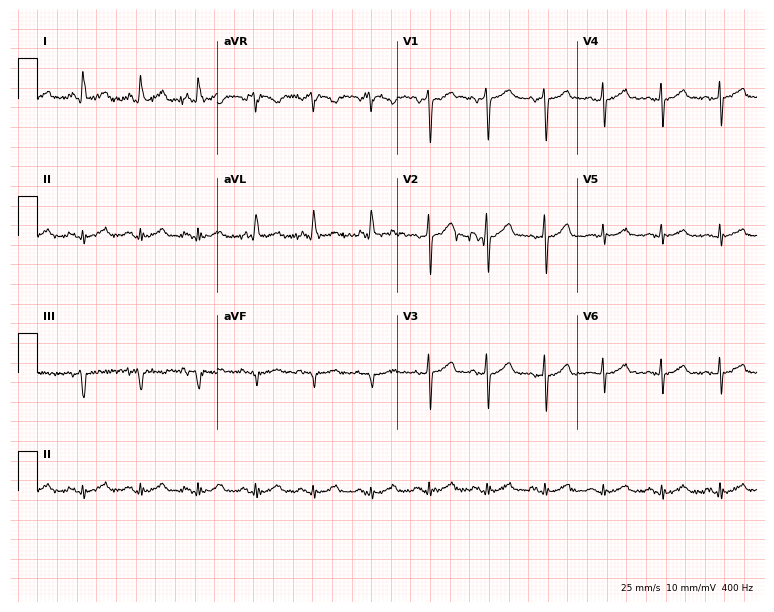
ECG (7.3-second recording at 400 Hz) — a male patient, 48 years old. Findings include sinus tachycardia (a sinus rate of 100 beats per minute or more).